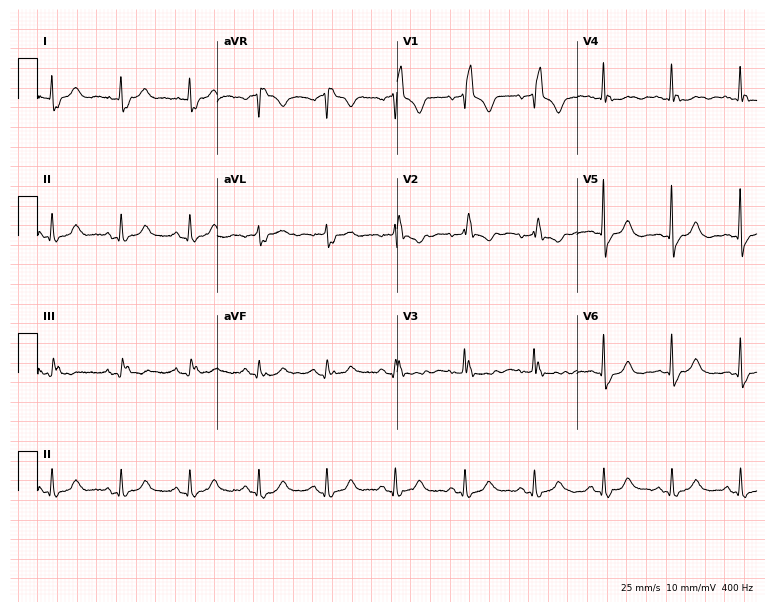
ECG — a woman, 76 years old. Findings include right bundle branch block (RBBB).